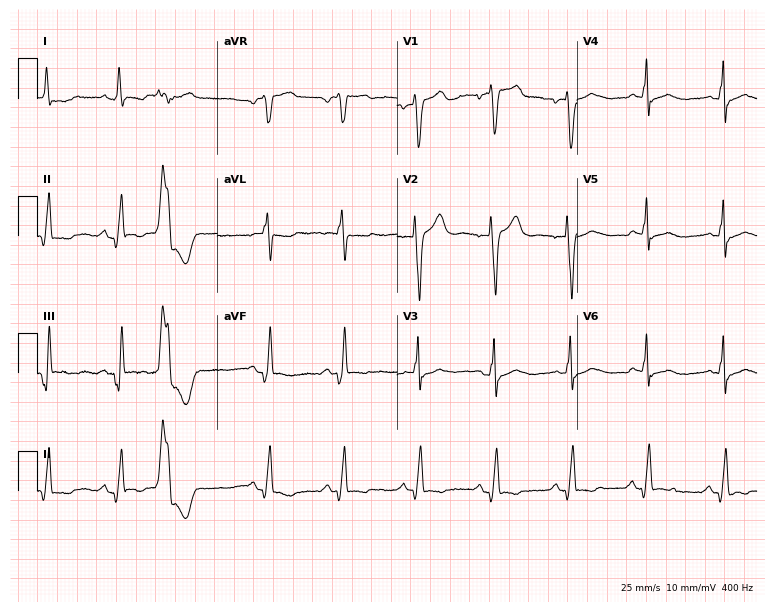
12-lead ECG (7.3-second recording at 400 Hz) from a 61-year-old male. Screened for six findings — first-degree AV block, right bundle branch block, left bundle branch block, sinus bradycardia, atrial fibrillation, sinus tachycardia — none is recorded.